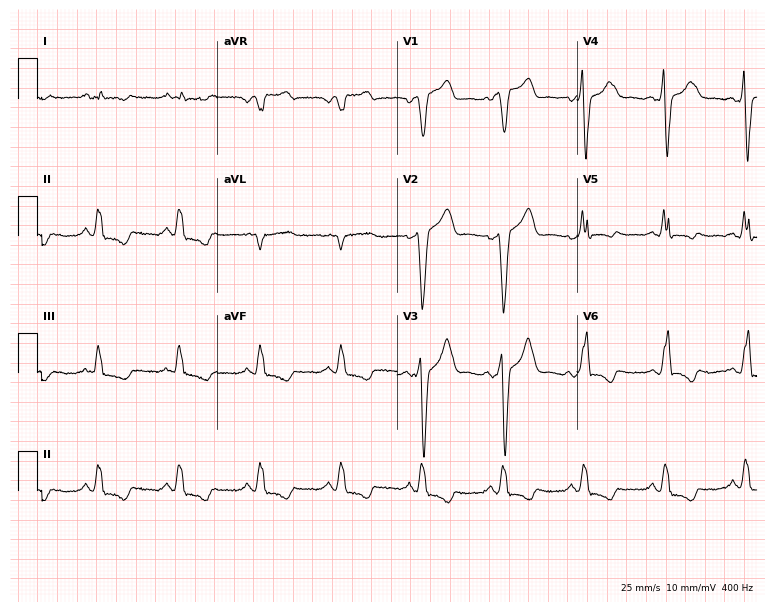
Resting 12-lead electrocardiogram. Patient: a male, 43 years old. None of these six findings is recorded: first-degree AV block, right bundle branch block (RBBB), left bundle branch block (LBBB), sinus bradycardia, atrial fibrillation (AF), sinus tachycardia.